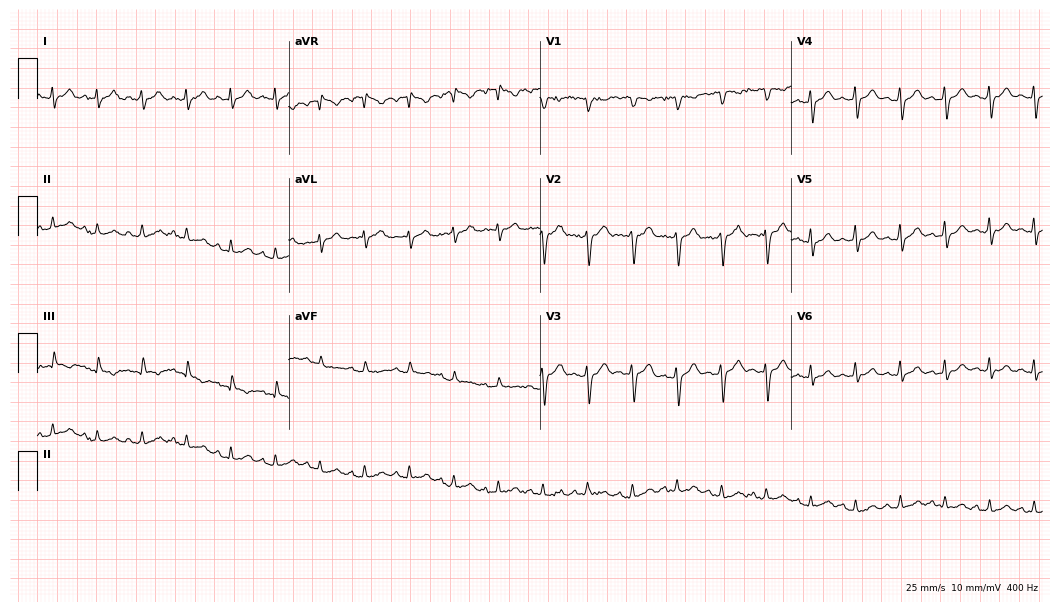
Resting 12-lead electrocardiogram. Patient: a male, 57 years old. The tracing shows sinus tachycardia (a sinus rate of 100 beats per minute or more).